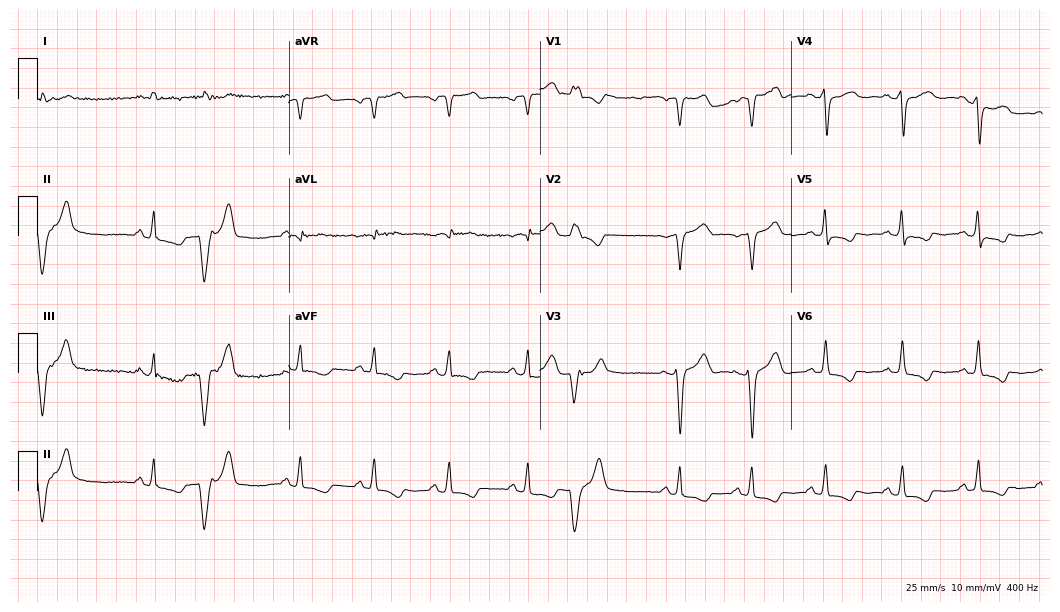
Standard 12-lead ECG recorded from a 66-year-old woman. None of these six findings is recorded: first-degree AV block, right bundle branch block (RBBB), left bundle branch block (LBBB), sinus bradycardia, atrial fibrillation (AF), sinus tachycardia.